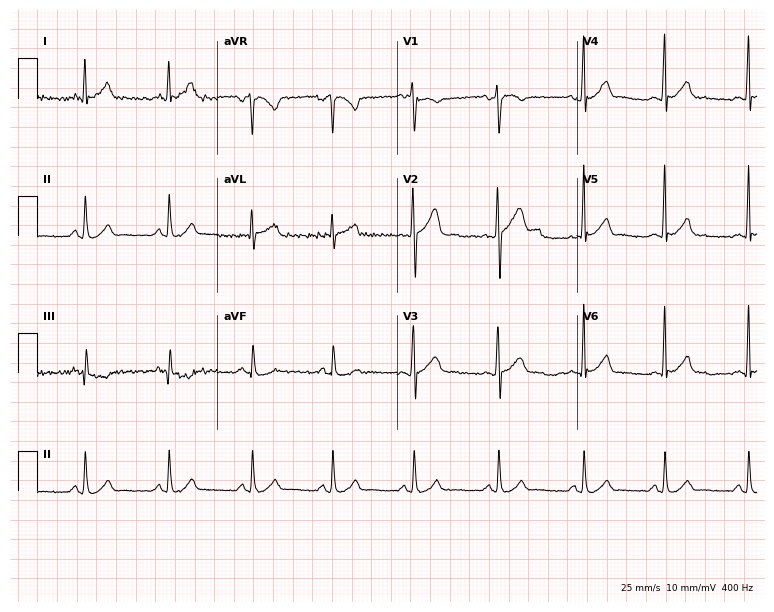
ECG (7.3-second recording at 400 Hz) — a man, 27 years old. Screened for six findings — first-degree AV block, right bundle branch block, left bundle branch block, sinus bradycardia, atrial fibrillation, sinus tachycardia — none is recorded.